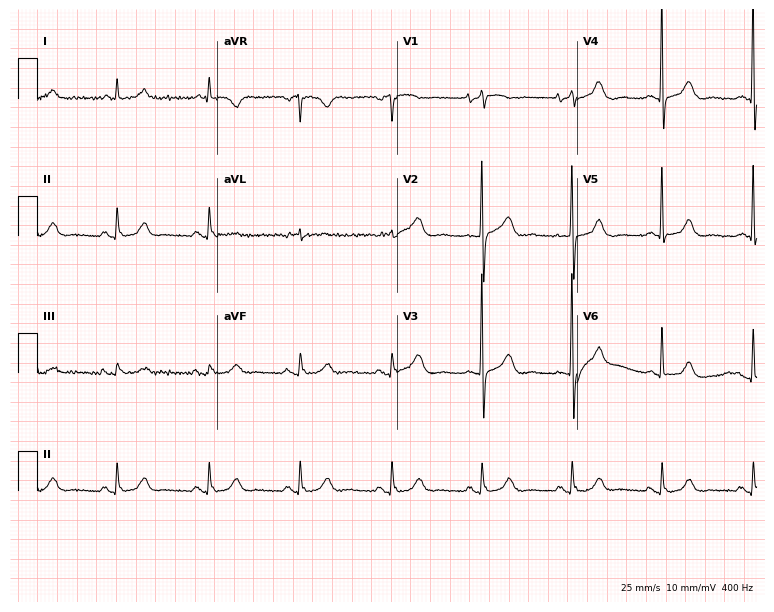
Standard 12-lead ECG recorded from a woman, 80 years old. None of these six findings is recorded: first-degree AV block, right bundle branch block, left bundle branch block, sinus bradycardia, atrial fibrillation, sinus tachycardia. Other findings, if any, are not listed.